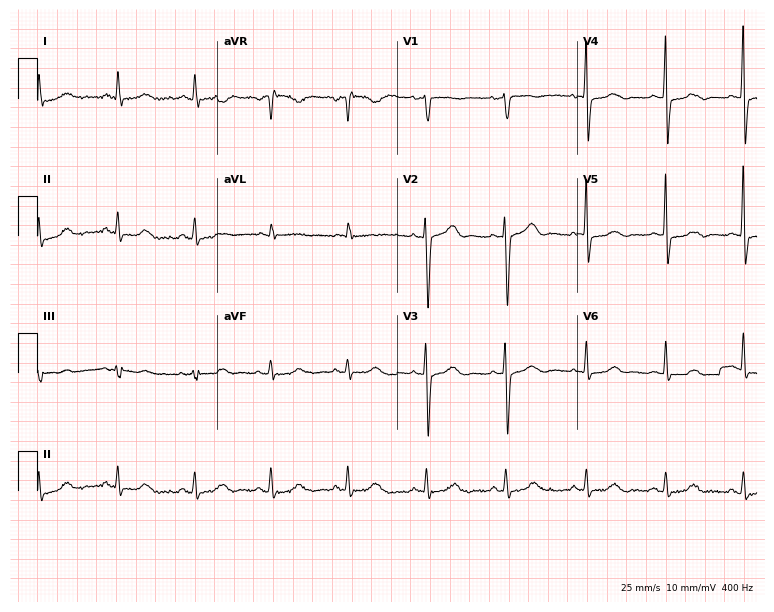
12-lead ECG (7.3-second recording at 400 Hz) from a 66-year-old woman. Labelled as a normal ECG.